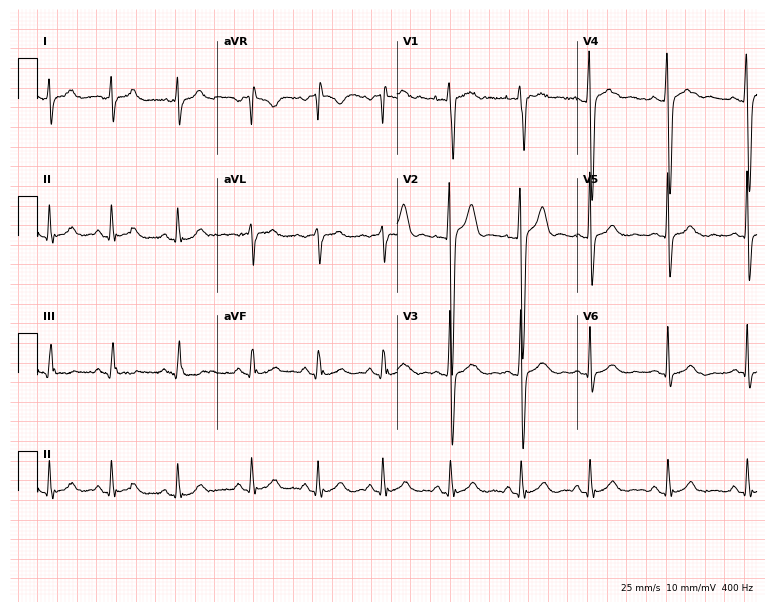
ECG (7.3-second recording at 400 Hz) — a 19-year-old man. Labelled as a normal ECG.